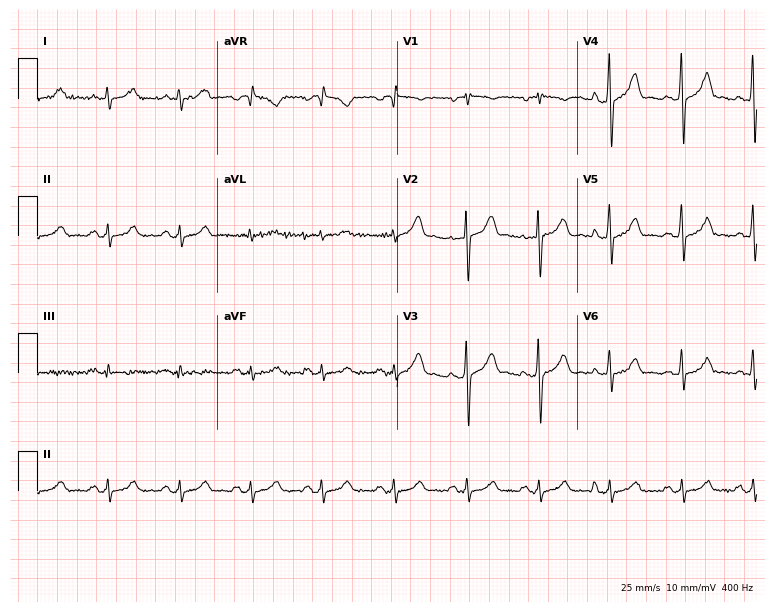
Resting 12-lead electrocardiogram. Patient: a 45-year-old male. None of these six findings is recorded: first-degree AV block, right bundle branch block (RBBB), left bundle branch block (LBBB), sinus bradycardia, atrial fibrillation (AF), sinus tachycardia.